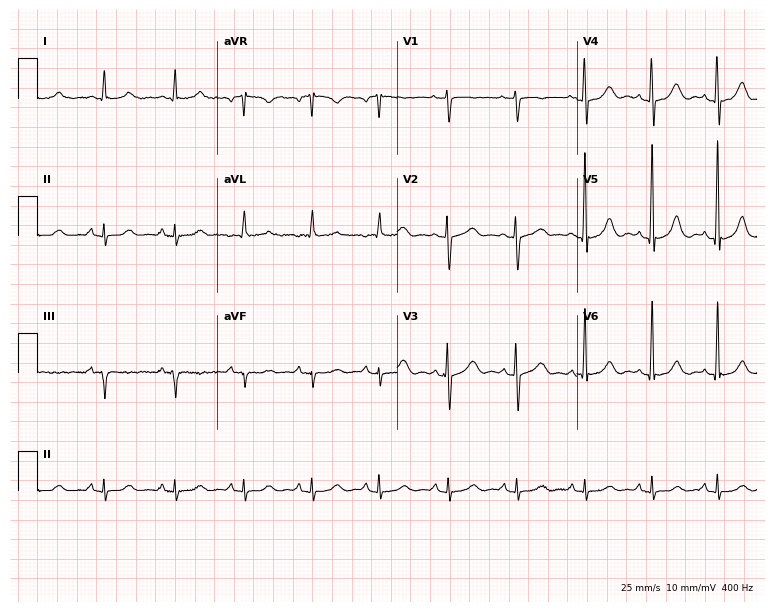
ECG (7.3-second recording at 400 Hz) — a woman, 82 years old. Labelled as a normal ECG.